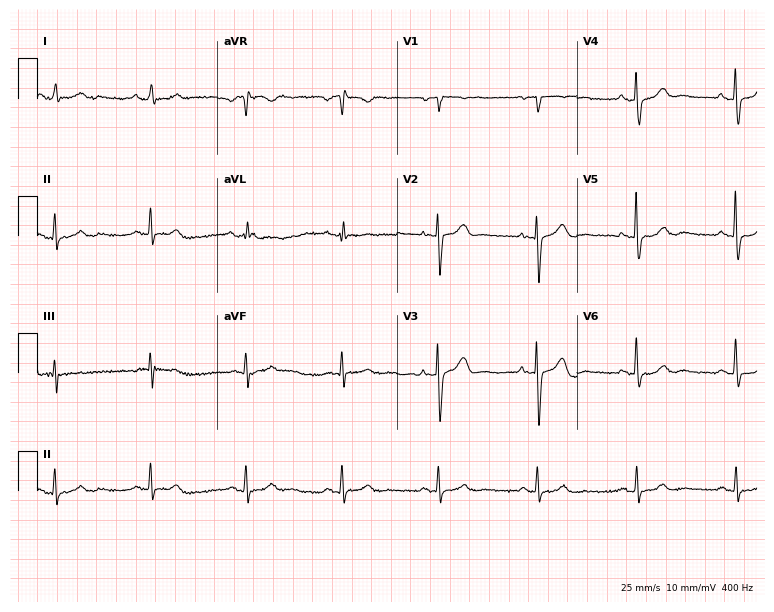
Resting 12-lead electrocardiogram (7.3-second recording at 400 Hz). Patient: a 77-year-old male. Read as a normal ECG.